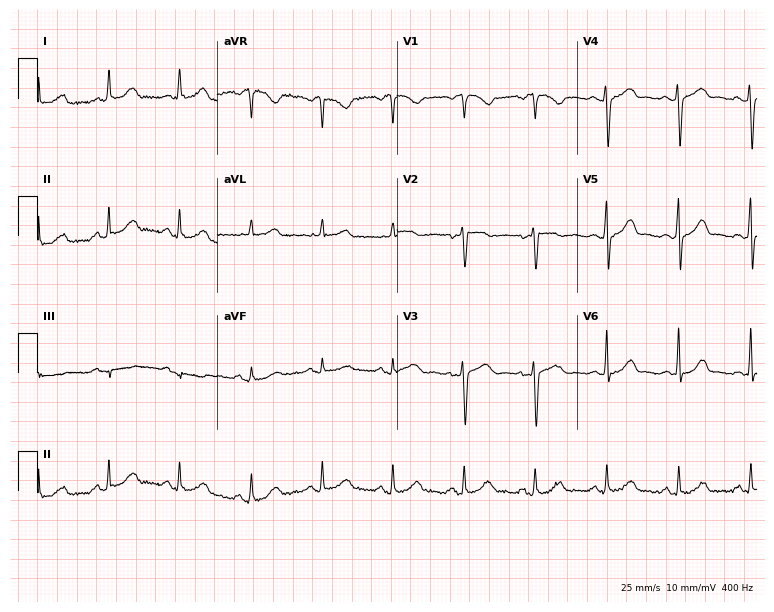
Resting 12-lead electrocardiogram. Patient: a female, 46 years old. Read as a normal ECG.